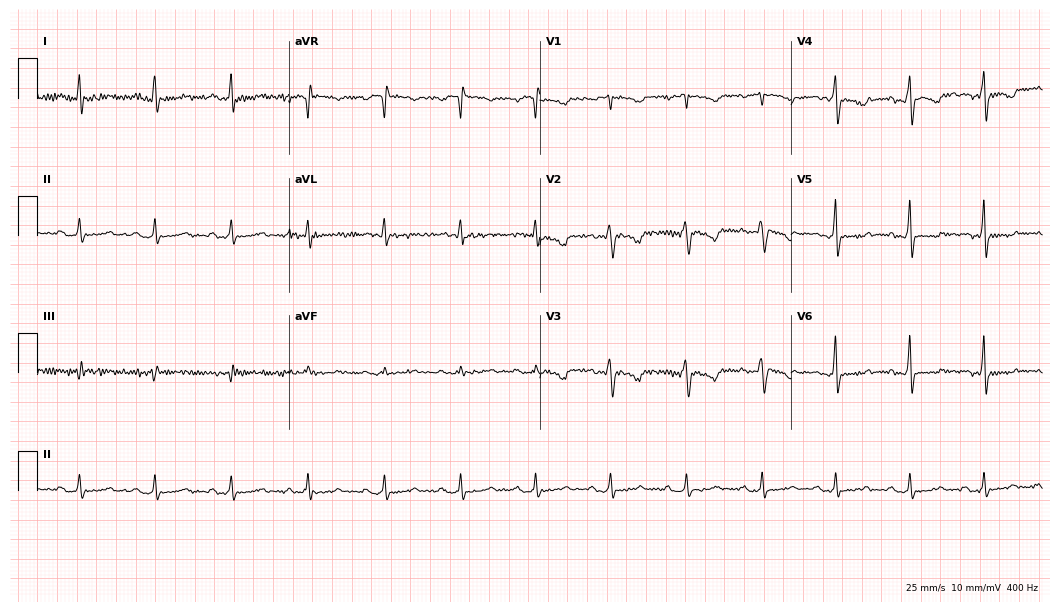
Resting 12-lead electrocardiogram. Patient: a 33-year-old woman. None of these six findings is recorded: first-degree AV block, right bundle branch block, left bundle branch block, sinus bradycardia, atrial fibrillation, sinus tachycardia. Other findings, if any, are not listed.